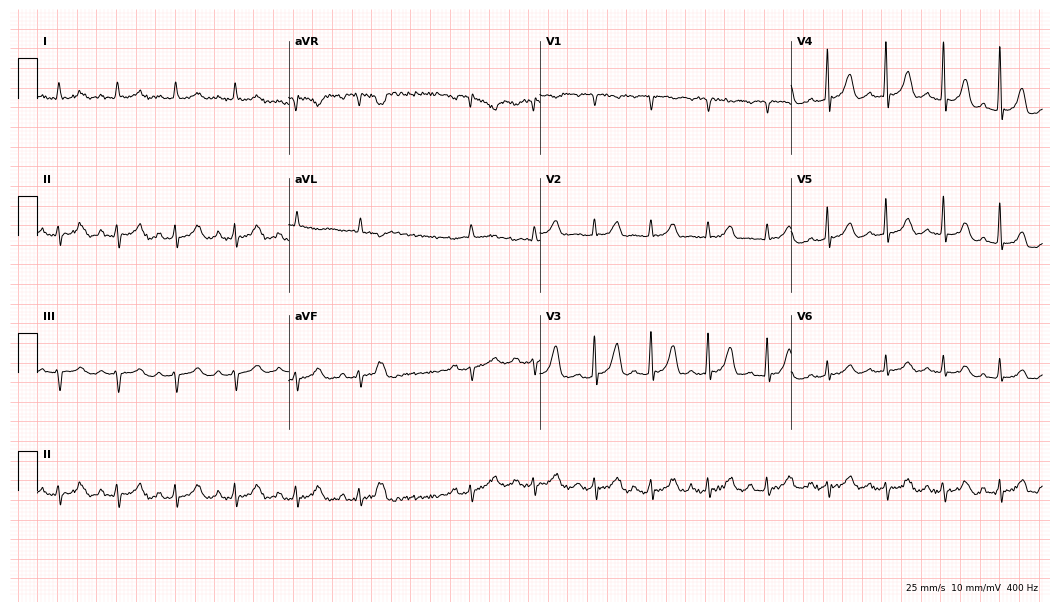
Electrocardiogram (10.2-second recording at 400 Hz), a woman, 81 years old. Overall reading on record: normal ECG.